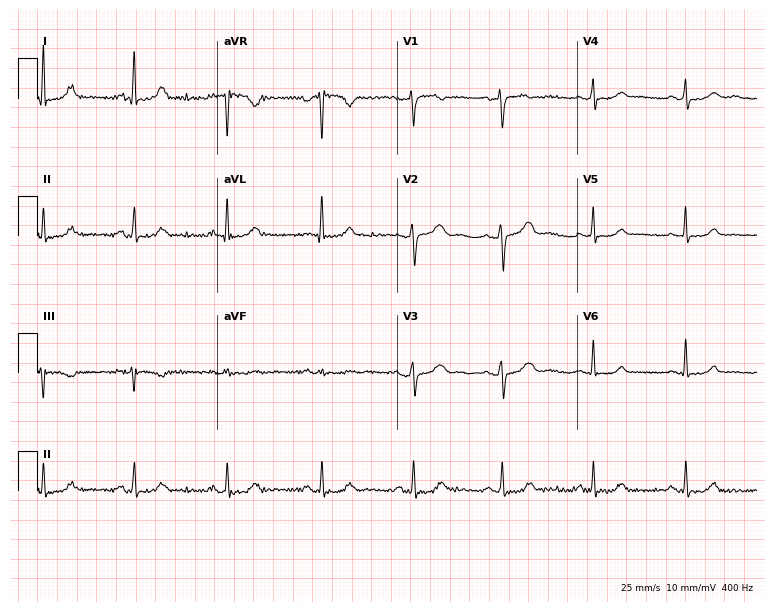
Resting 12-lead electrocardiogram (7.3-second recording at 400 Hz). Patient: a 51-year-old female. None of these six findings is recorded: first-degree AV block, right bundle branch block, left bundle branch block, sinus bradycardia, atrial fibrillation, sinus tachycardia. Findings outside these six are not listed.